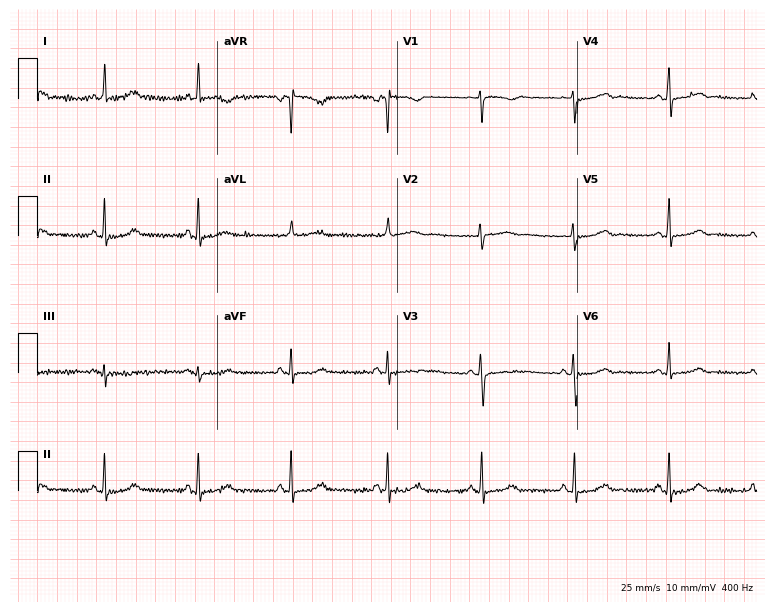
Standard 12-lead ECG recorded from a female patient, 53 years old (7.3-second recording at 400 Hz). Read as a normal ECG.